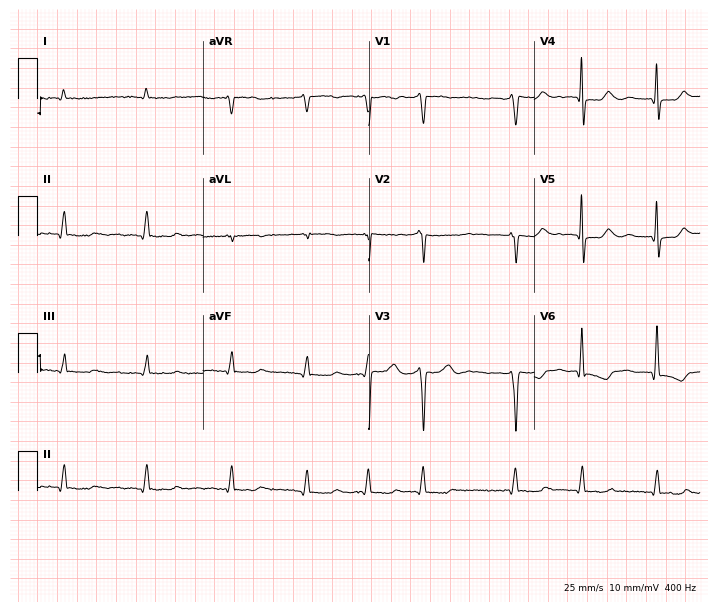
Electrocardiogram, a male patient, 79 years old. Interpretation includes atrial fibrillation.